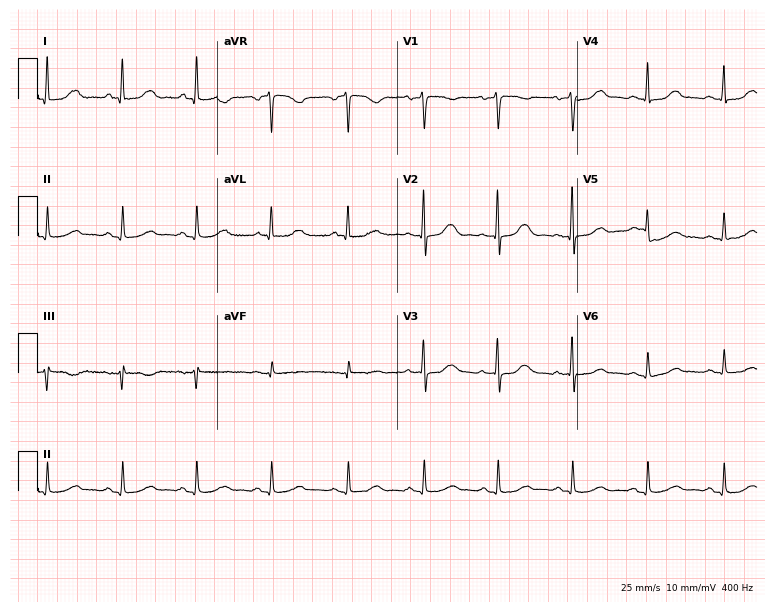
Resting 12-lead electrocardiogram. Patient: a 67-year-old woman. Read as a normal ECG.